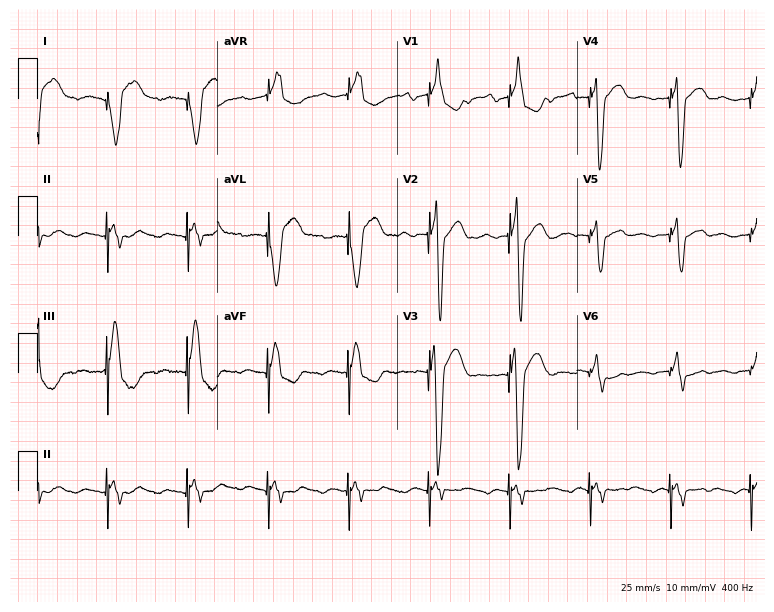
12-lead ECG (7.3-second recording at 400 Hz) from a 17-year-old male. Screened for six findings — first-degree AV block, right bundle branch block, left bundle branch block, sinus bradycardia, atrial fibrillation, sinus tachycardia — none is recorded. Other findings, if any, are not listed.